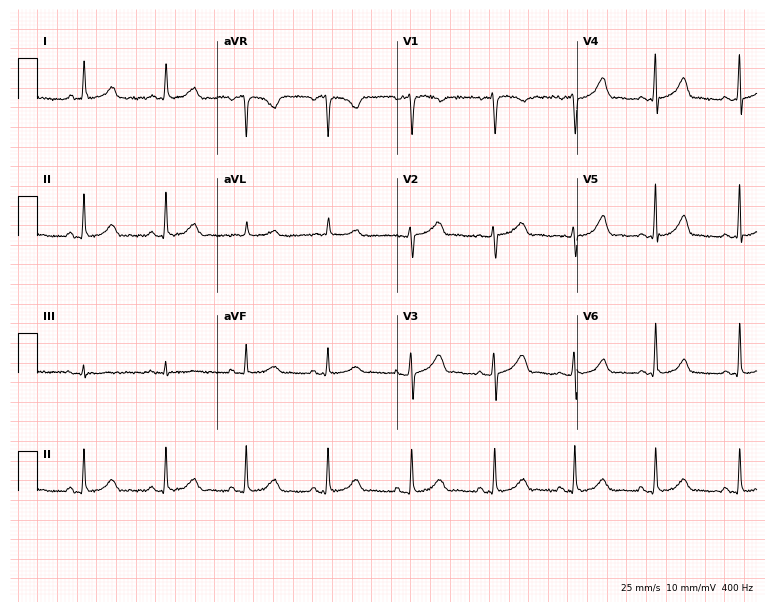
ECG (7.3-second recording at 400 Hz) — a 42-year-old female. Labelled as a normal ECG.